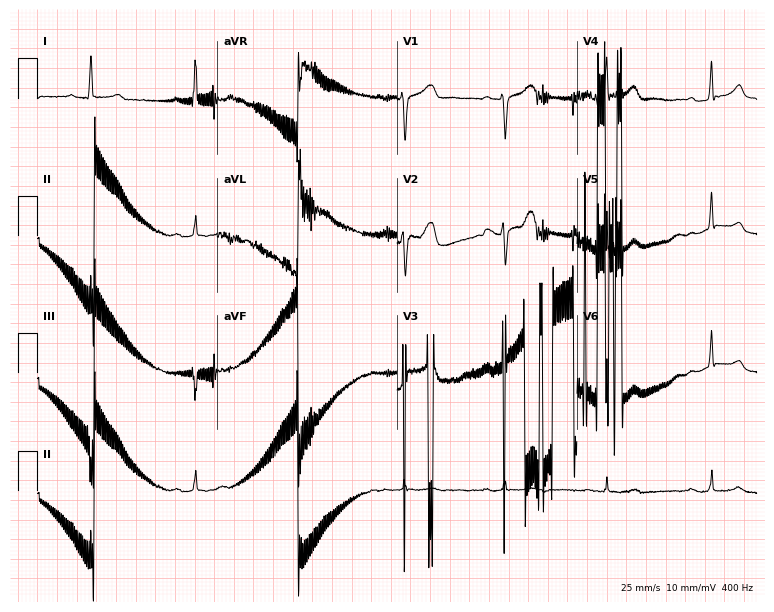
12-lead ECG (7.3-second recording at 400 Hz) from a 69-year-old woman. Screened for six findings — first-degree AV block, right bundle branch block, left bundle branch block, sinus bradycardia, atrial fibrillation, sinus tachycardia — none is recorded.